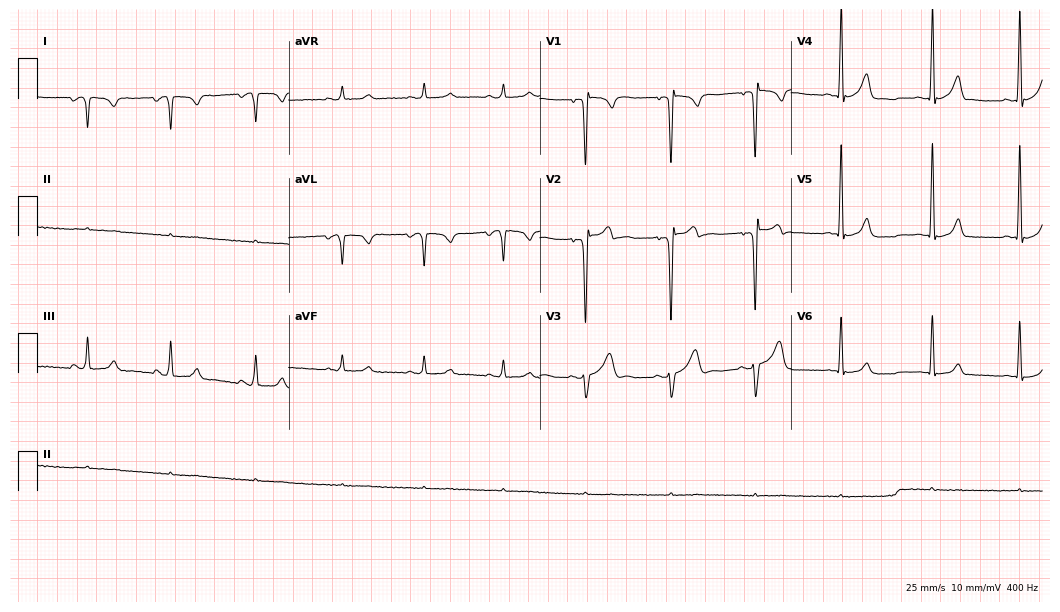
12-lead ECG from a 20-year-old male. Screened for six findings — first-degree AV block, right bundle branch block, left bundle branch block, sinus bradycardia, atrial fibrillation, sinus tachycardia — none is recorded.